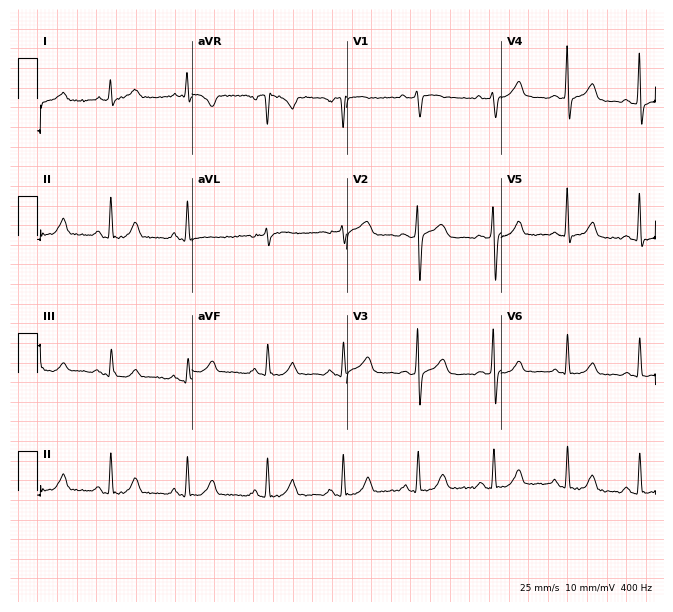
12-lead ECG from a 55-year-old female. No first-degree AV block, right bundle branch block (RBBB), left bundle branch block (LBBB), sinus bradycardia, atrial fibrillation (AF) or sinus tachycardia recorded for this tracing.